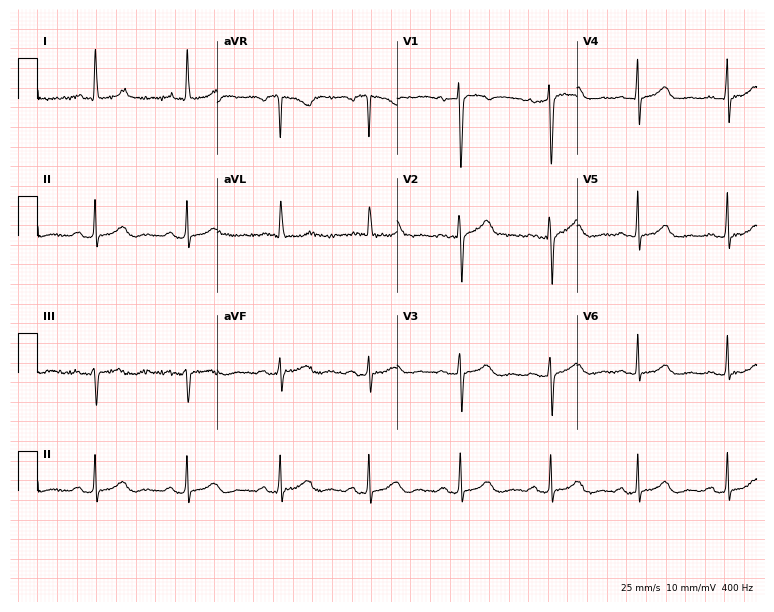
Resting 12-lead electrocardiogram. Patient: a 79-year-old female. Read as a normal ECG.